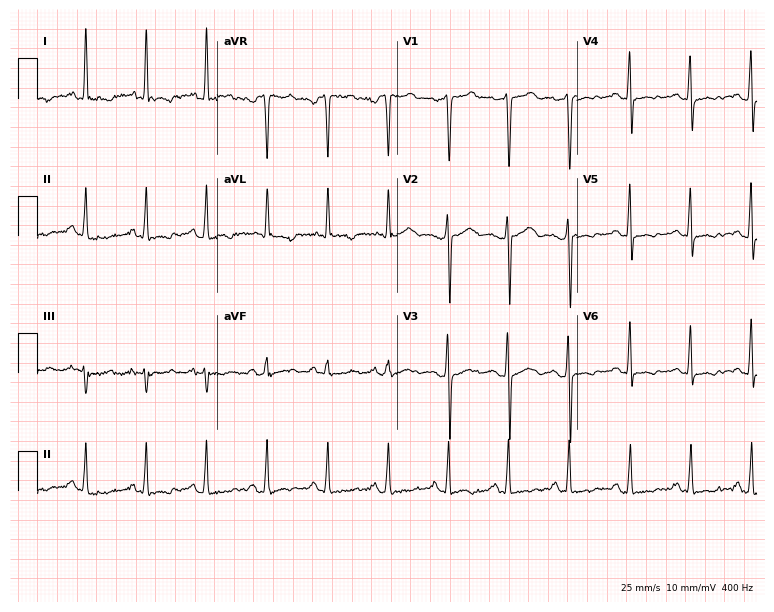
12-lead ECG from a female, 56 years old (7.3-second recording at 400 Hz). No first-degree AV block, right bundle branch block, left bundle branch block, sinus bradycardia, atrial fibrillation or sinus tachycardia recorded for this tracing.